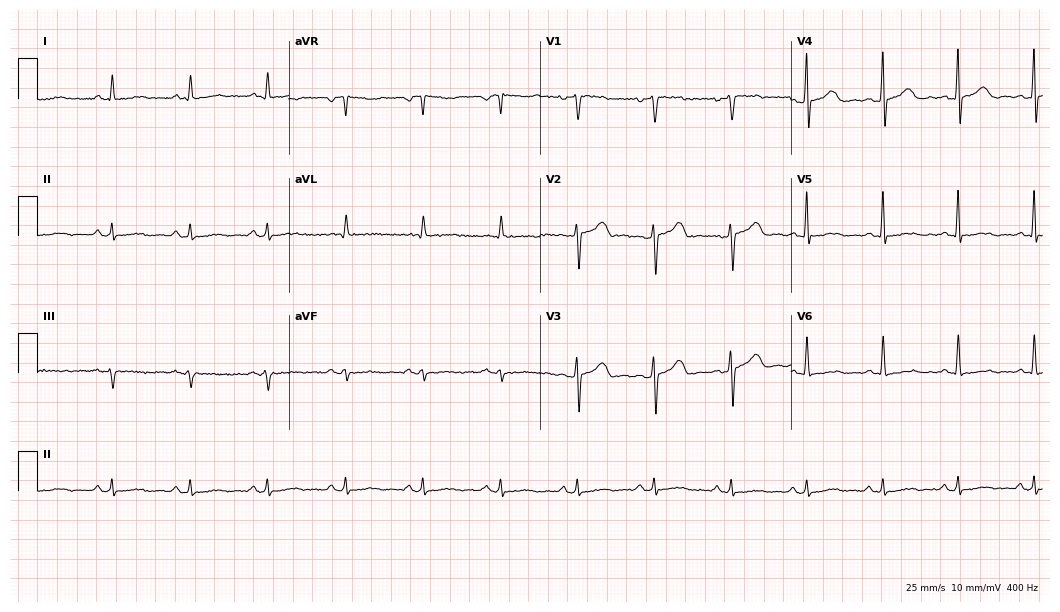
Standard 12-lead ECG recorded from a woman, 48 years old. Read as a normal ECG.